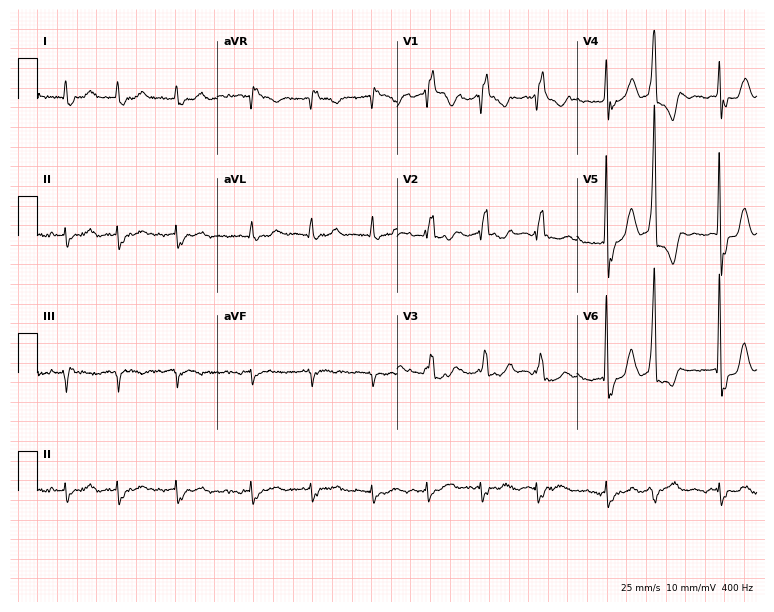
12-lead ECG from a 78-year-old male patient. Shows atrial fibrillation.